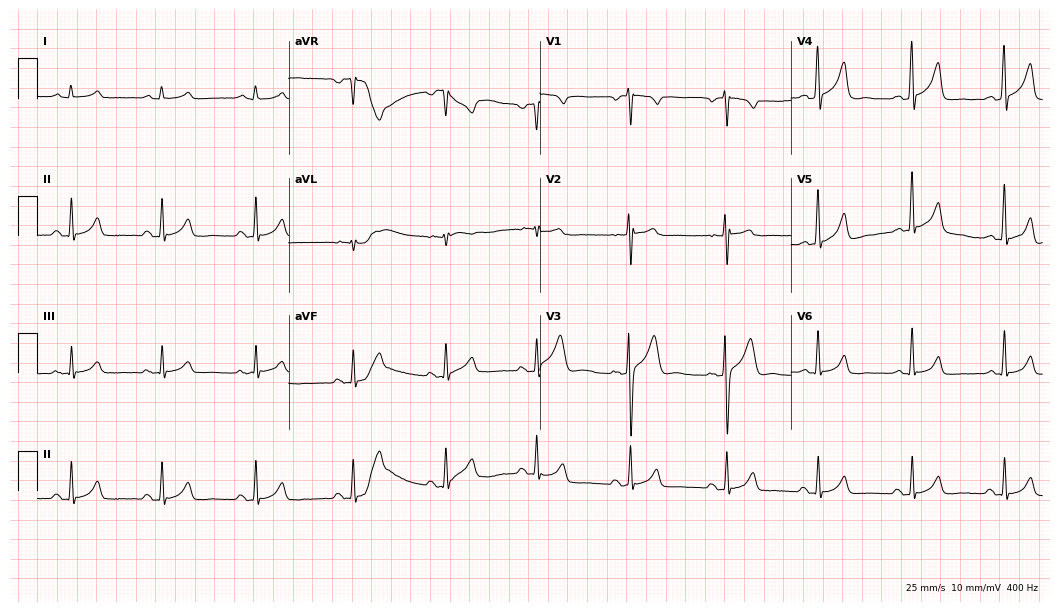
12-lead ECG from a male, 44 years old (10.2-second recording at 400 Hz). Recorded interpretation: within normal limits.